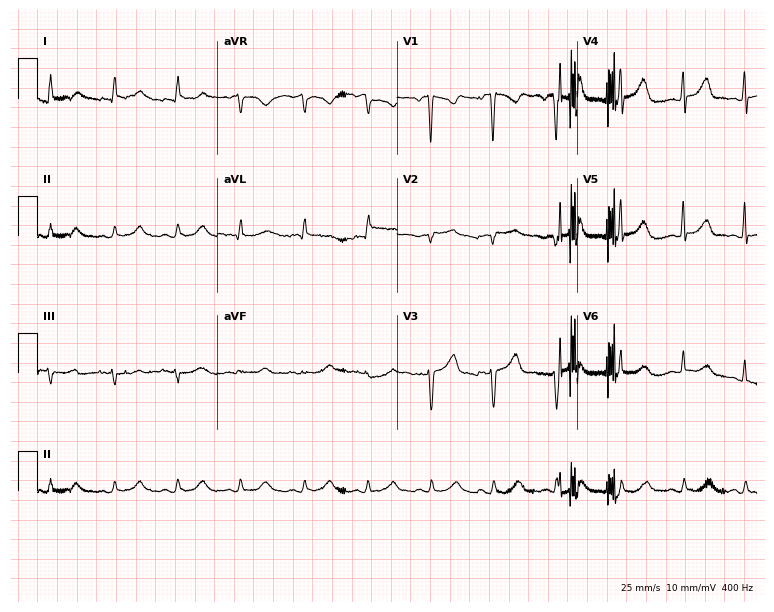
Standard 12-lead ECG recorded from a female patient, 57 years old (7.3-second recording at 400 Hz). None of these six findings is recorded: first-degree AV block, right bundle branch block, left bundle branch block, sinus bradycardia, atrial fibrillation, sinus tachycardia.